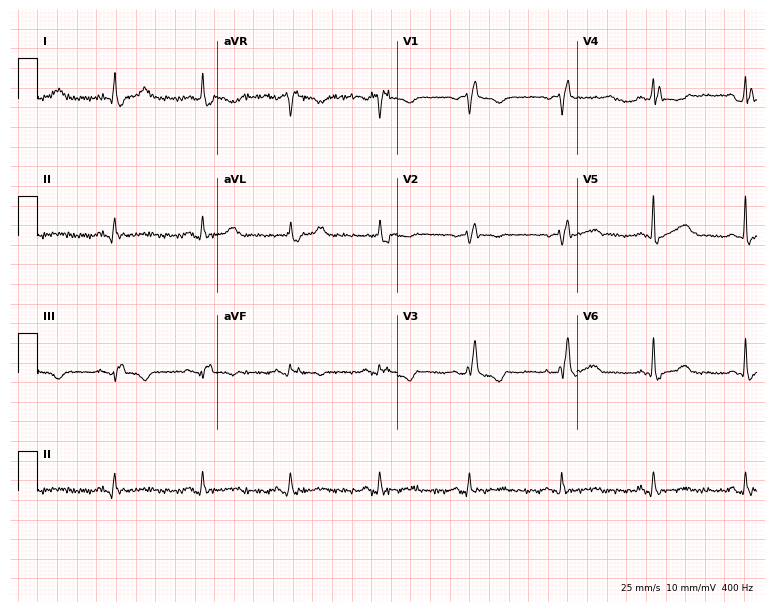
Resting 12-lead electrocardiogram. Patient: a male, 72 years old. The tracing shows right bundle branch block (RBBB).